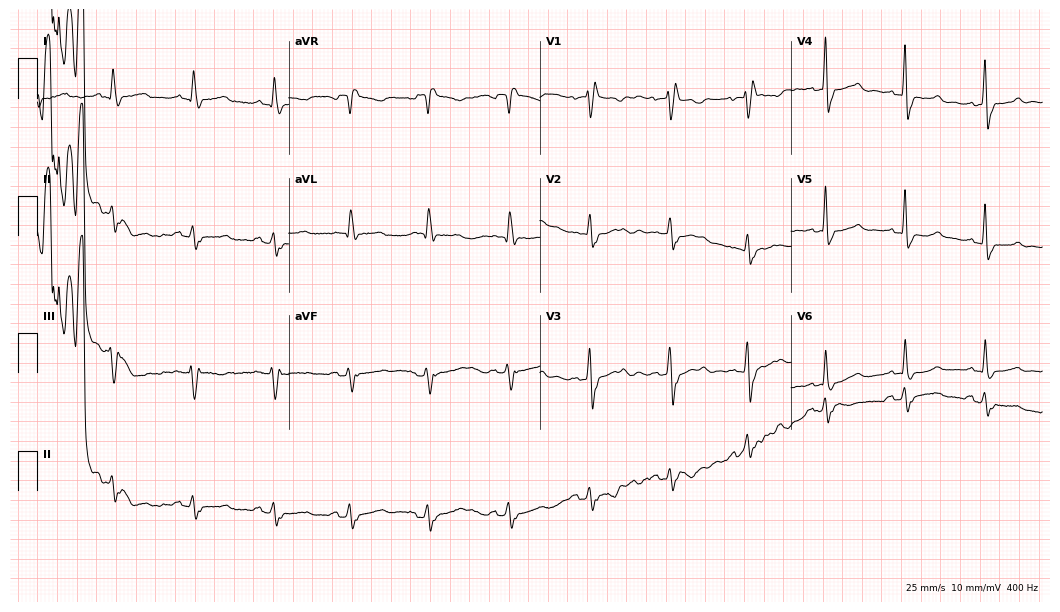
12-lead ECG (10.2-second recording at 400 Hz) from a female patient, 82 years old. Screened for six findings — first-degree AV block, right bundle branch block (RBBB), left bundle branch block (LBBB), sinus bradycardia, atrial fibrillation (AF), sinus tachycardia — none is recorded. Other findings, if any, are not listed.